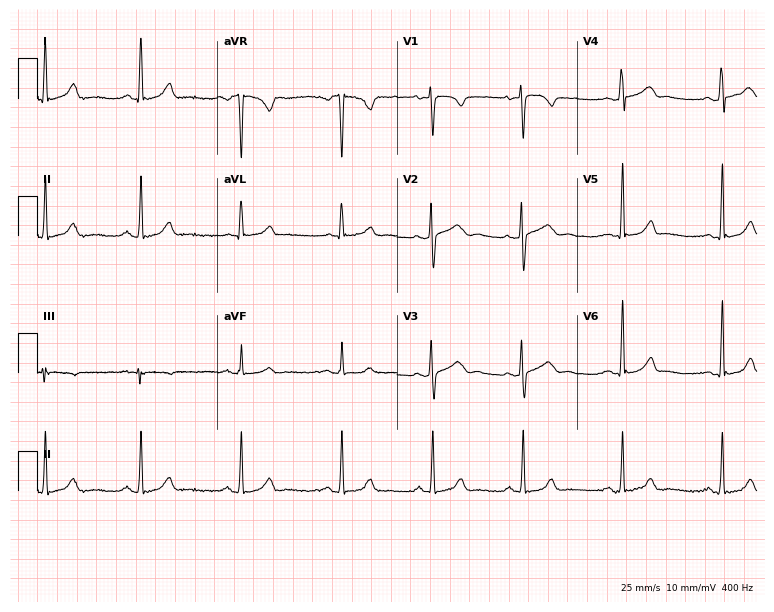
Electrocardiogram, a 35-year-old female patient. Of the six screened findings (first-degree AV block, right bundle branch block (RBBB), left bundle branch block (LBBB), sinus bradycardia, atrial fibrillation (AF), sinus tachycardia), none is recorded. Only these six findings were labelled.